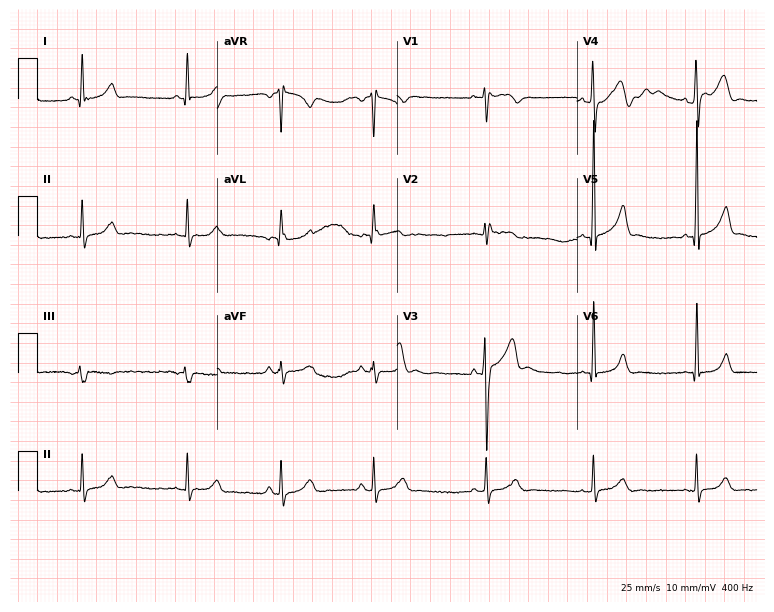
12-lead ECG (7.3-second recording at 400 Hz) from a male patient, 32 years old. Screened for six findings — first-degree AV block, right bundle branch block, left bundle branch block, sinus bradycardia, atrial fibrillation, sinus tachycardia — none is recorded. Findings outside these six are not listed.